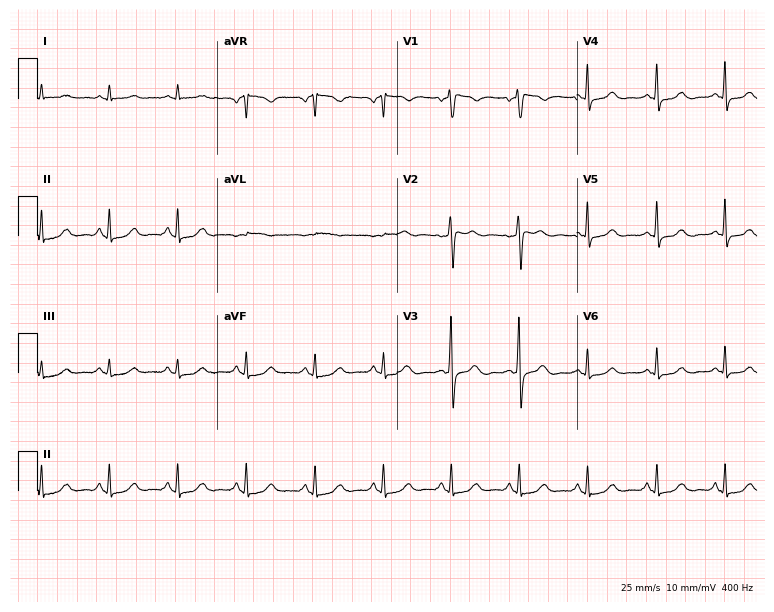
Resting 12-lead electrocardiogram. Patient: a female, 51 years old. None of these six findings is recorded: first-degree AV block, right bundle branch block (RBBB), left bundle branch block (LBBB), sinus bradycardia, atrial fibrillation (AF), sinus tachycardia. Findings outside these six are not listed.